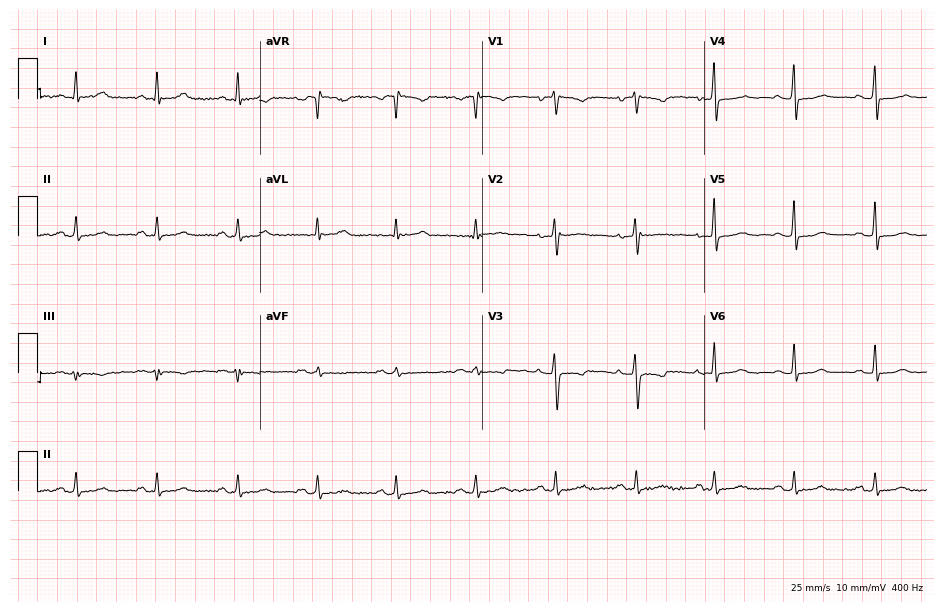
Electrocardiogram (9.1-second recording at 400 Hz), a 41-year-old woman. Overall reading on record: normal ECG.